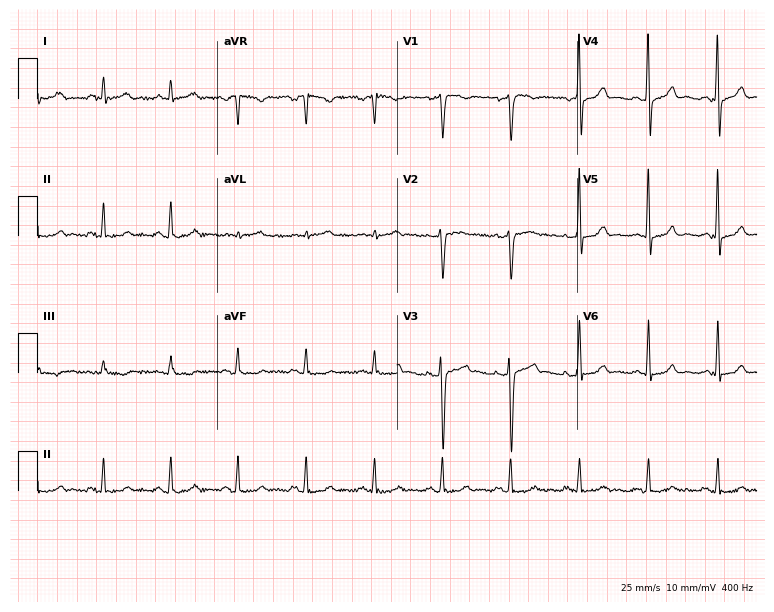
Standard 12-lead ECG recorded from a 50-year-old male patient. Read as a normal ECG.